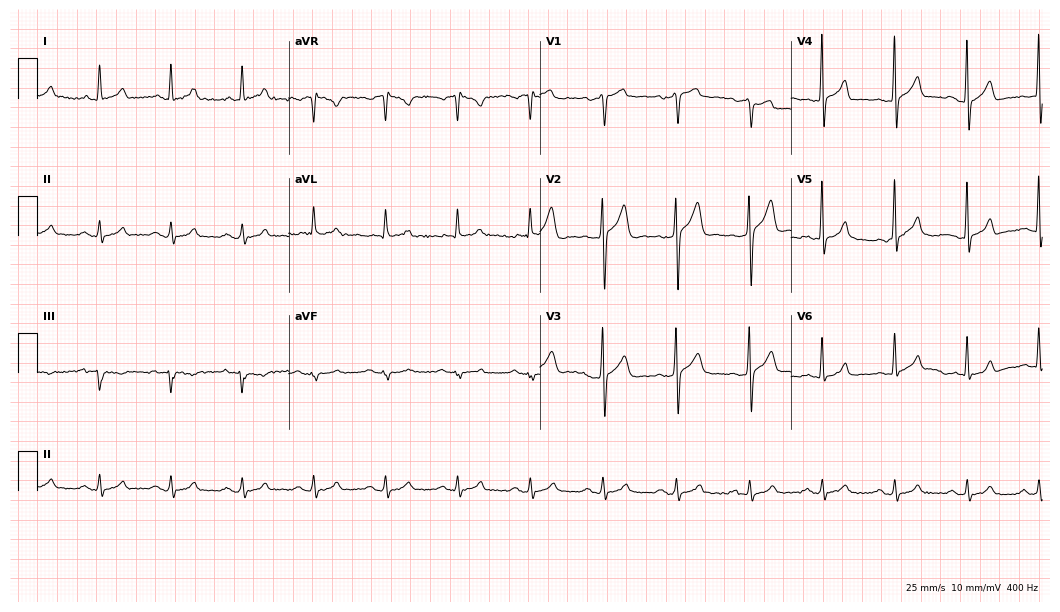
12-lead ECG (10.2-second recording at 400 Hz) from a 60-year-old male patient. Labelled as a normal ECG.